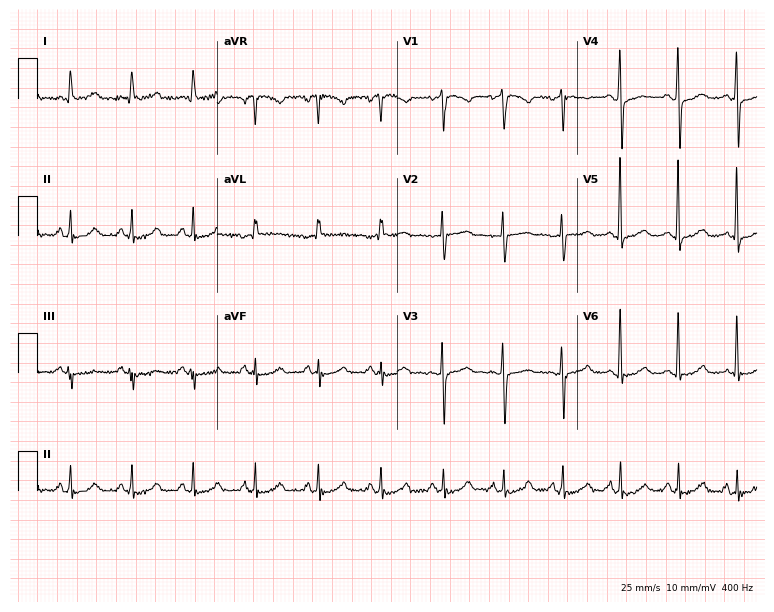
ECG — a man, 65 years old. Labelled as a normal ECG.